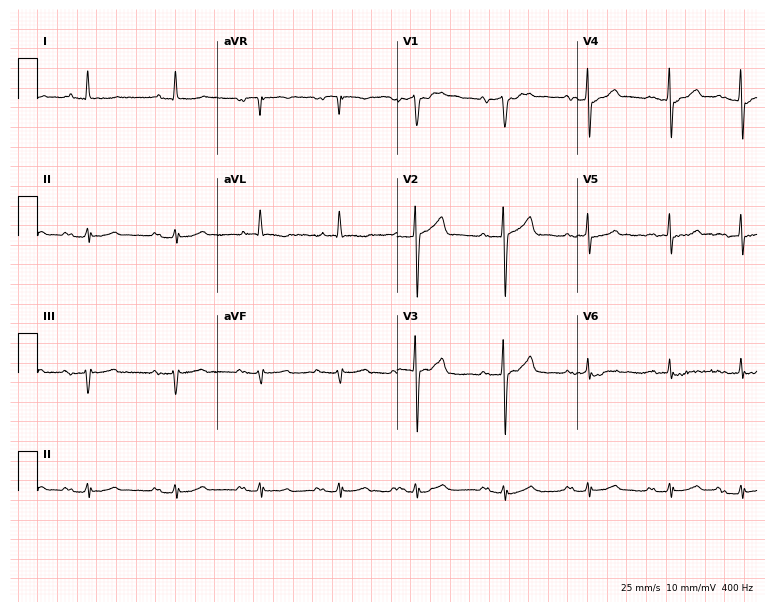
Electrocardiogram, an 85-year-old man. Of the six screened findings (first-degree AV block, right bundle branch block, left bundle branch block, sinus bradycardia, atrial fibrillation, sinus tachycardia), none is recorded. Findings outside these six are not listed.